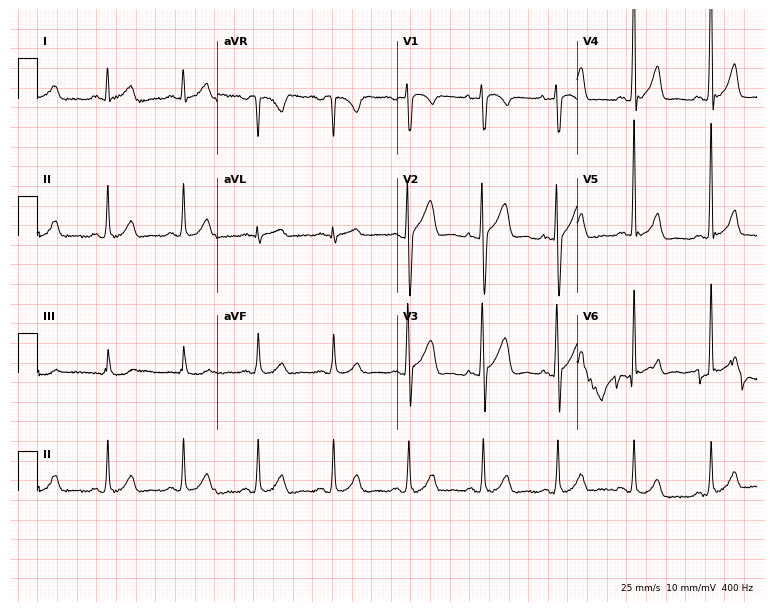
Resting 12-lead electrocardiogram. Patient: a male, 43 years old. None of these six findings is recorded: first-degree AV block, right bundle branch block, left bundle branch block, sinus bradycardia, atrial fibrillation, sinus tachycardia.